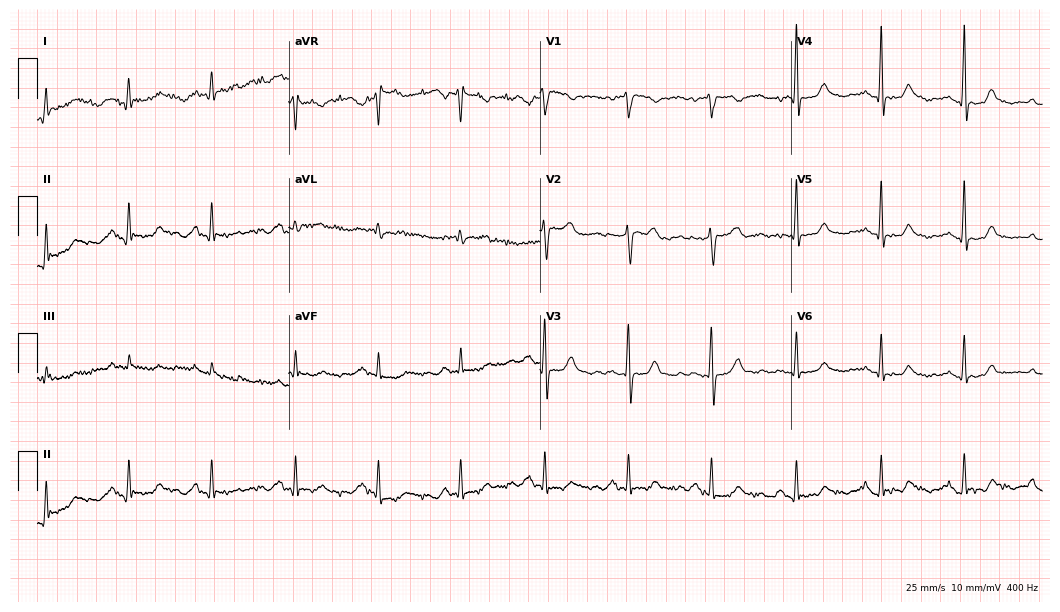
12-lead ECG from a woman, 72 years old. Recorded interpretation: within normal limits.